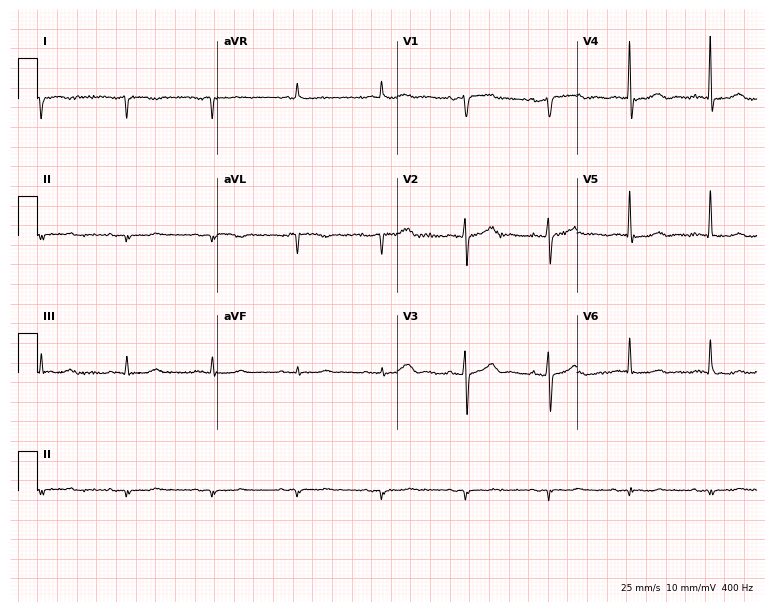
Resting 12-lead electrocardiogram. Patient: a female, 83 years old. None of these six findings is recorded: first-degree AV block, right bundle branch block, left bundle branch block, sinus bradycardia, atrial fibrillation, sinus tachycardia. Findings outside these six are not listed.